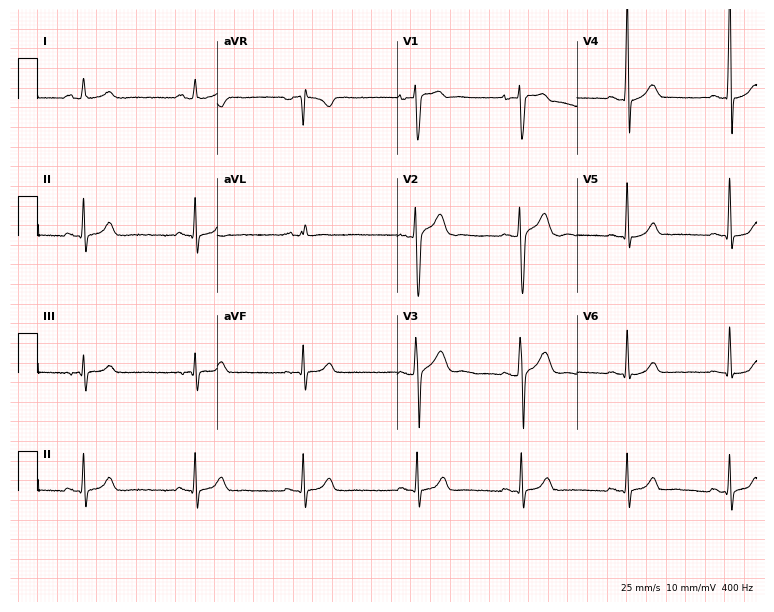
12-lead ECG from a 26-year-old man. Recorded interpretation: within normal limits.